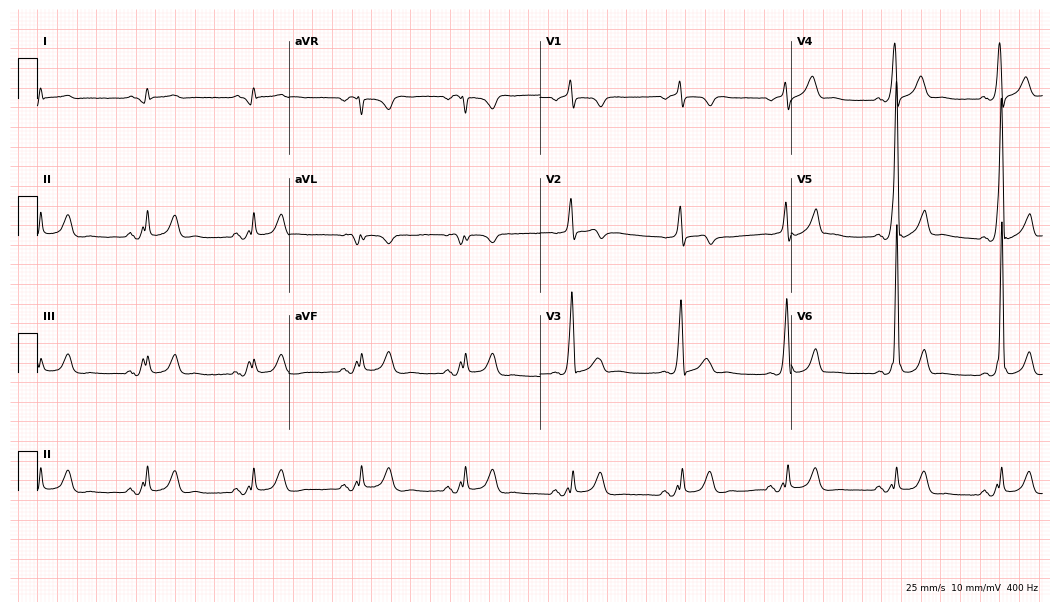
Standard 12-lead ECG recorded from a male, 61 years old (10.2-second recording at 400 Hz). None of these six findings is recorded: first-degree AV block, right bundle branch block, left bundle branch block, sinus bradycardia, atrial fibrillation, sinus tachycardia. Other findings, if any, are not listed.